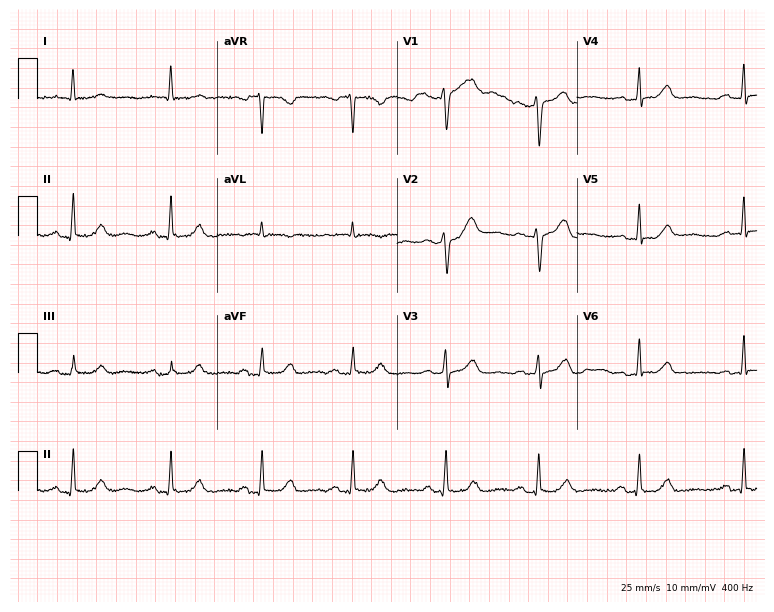
Resting 12-lead electrocardiogram. Patient: a 64-year-old female. Read as a normal ECG.